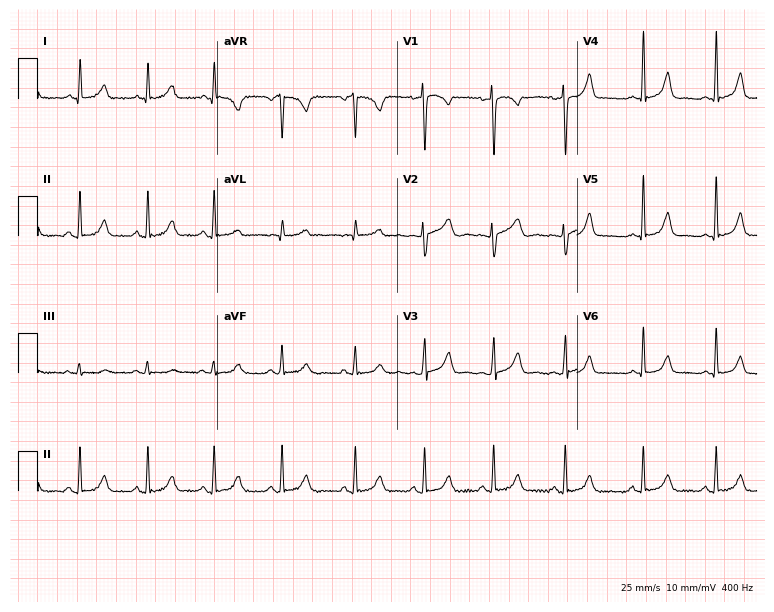
12-lead ECG from a 19-year-old female. Recorded interpretation: within normal limits.